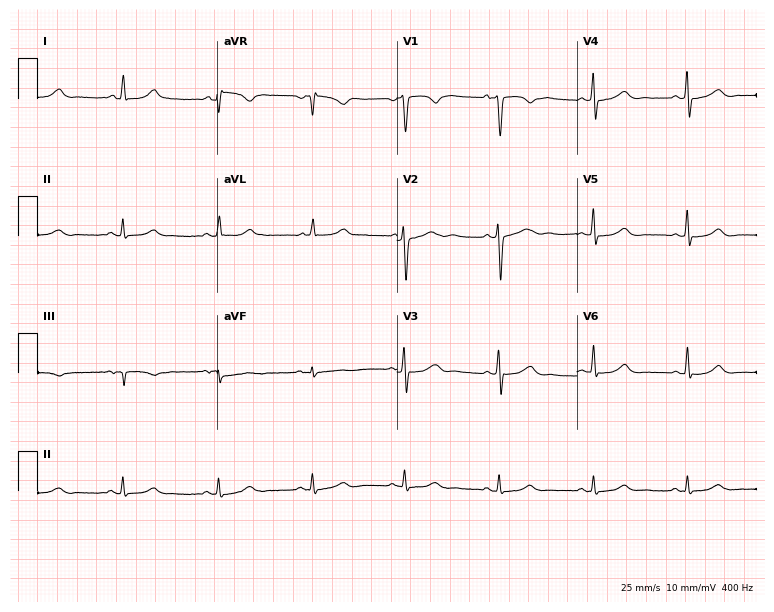
Standard 12-lead ECG recorded from a woman, 49 years old (7.3-second recording at 400 Hz). None of these six findings is recorded: first-degree AV block, right bundle branch block (RBBB), left bundle branch block (LBBB), sinus bradycardia, atrial fibrillation (AF), sinus tachycardia.